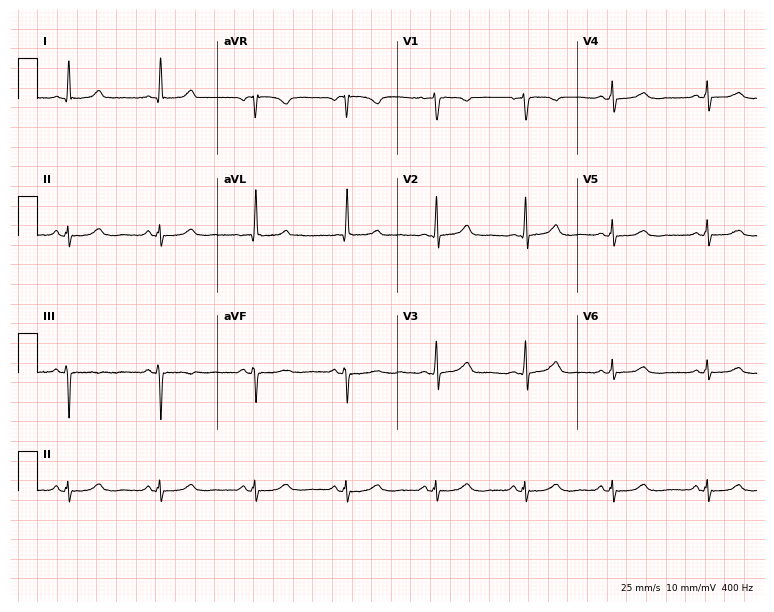
Electrocardiogram, a 56-year-old woman. Of the six screened findings (first-degree AV block, right bundle branch block (RBBB), left bundle branch block (LBBB), sinus bradycardia, atrial fibrillation (AF), sinus tachycardia), none is recorded.